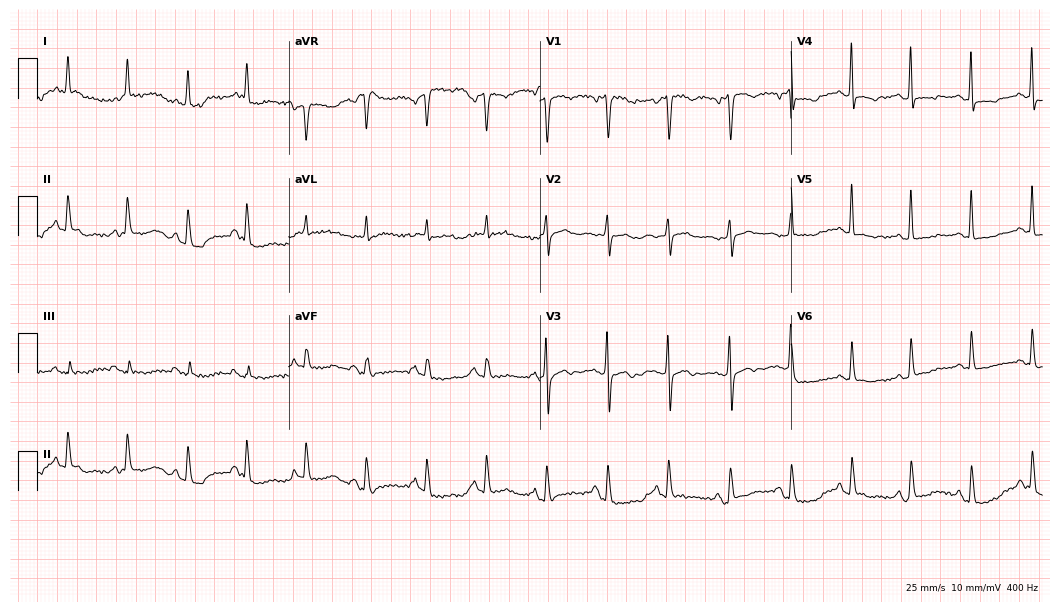
Electrocardiogram, a female patient, 74 years old. Of the six screened findings (first-degree AV block, right bundle branch block, left bundle branch block, sinus bradycardia, atrial fibrillation, sinus tachycardia), none is recorded.